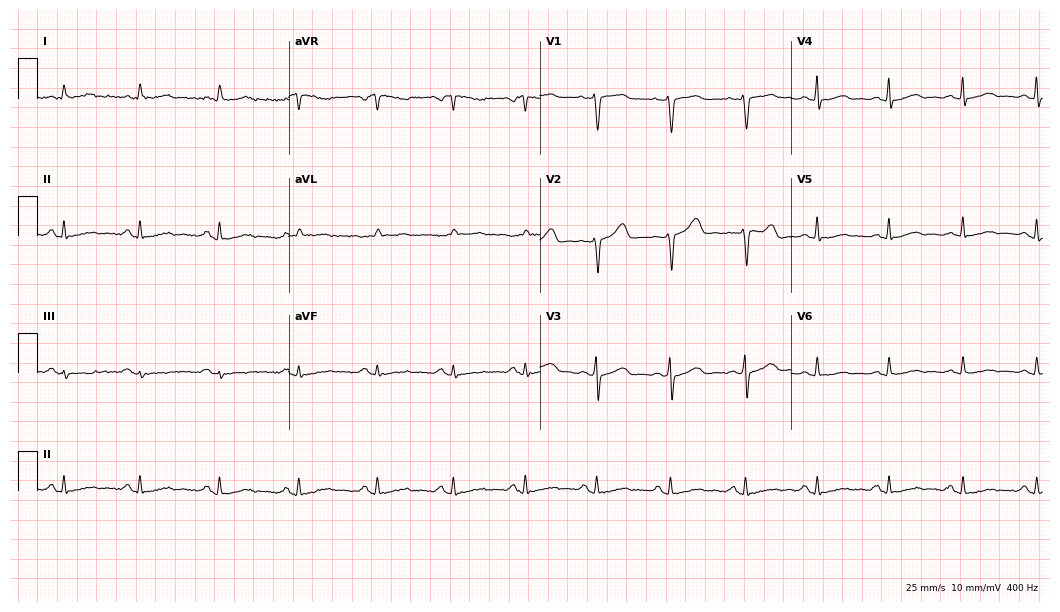
12-lead ECG from a 36-year-old female patient (10.2-second recording at 400 Hz). Recorded interpretation: within normal limits.